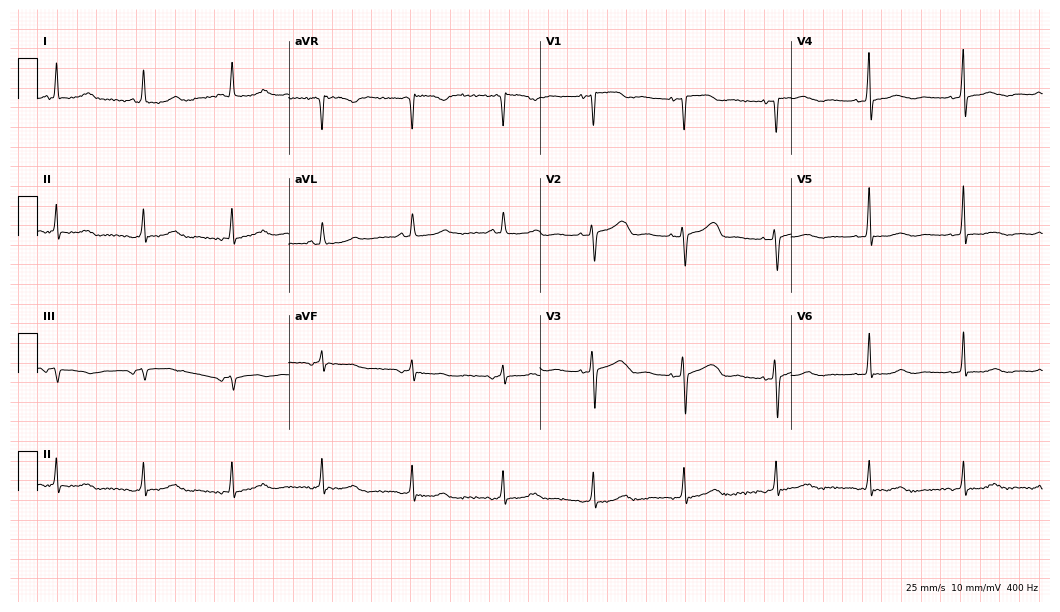
12-lead ECG from a female patient, 79 years old. No first-degree AV block, right bundle branch block, left bundle branch block, sinus bradycardia, atrial fibrillation or sinus tachycardia recorded for this tracing.